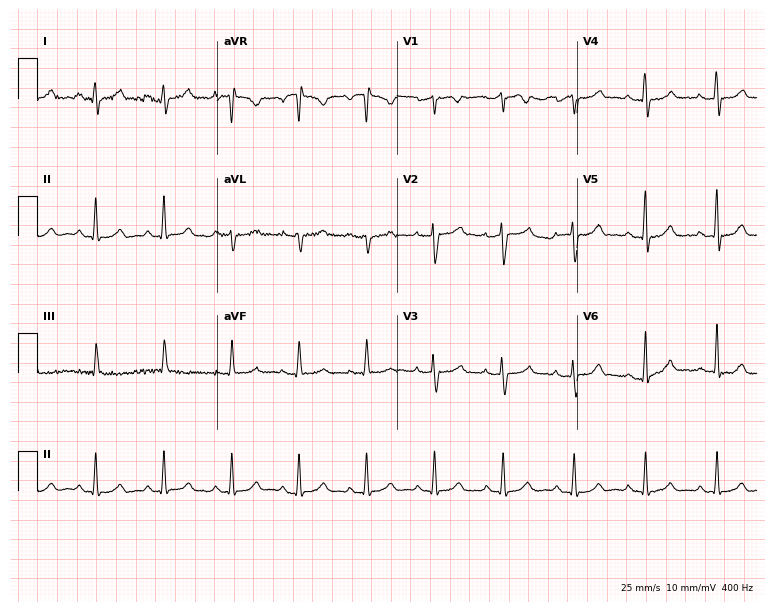
Resting 12-lead electrocardiogram (7.3-second recording at 400 Hz). Patient: a 42-year-old female. Read as a normal ECG.